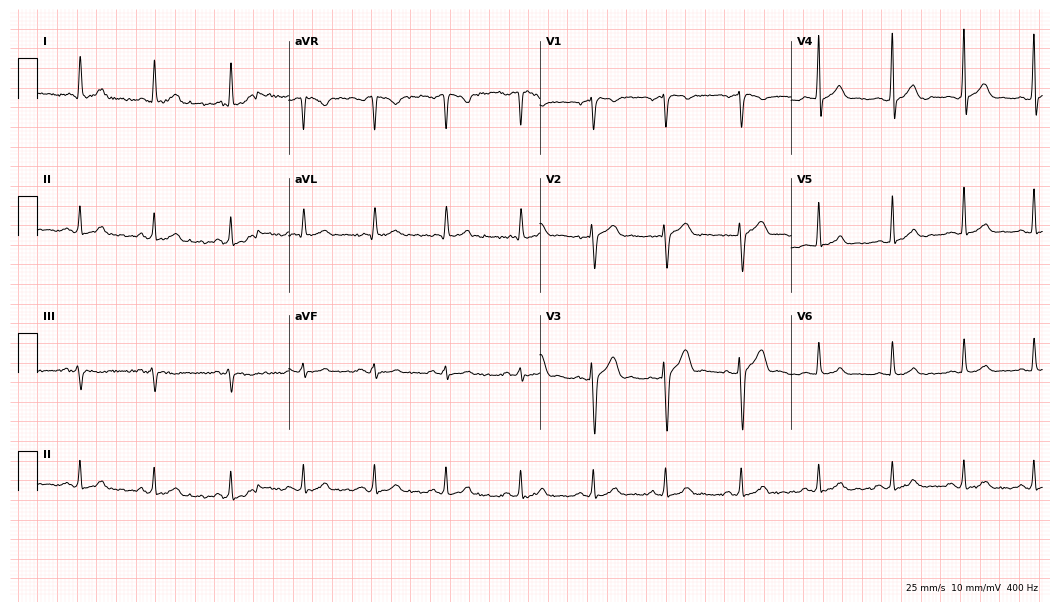
ECG (10.2-second recording at 400 Hz) — a 25-year-old man. Labelled as a normal ECG.